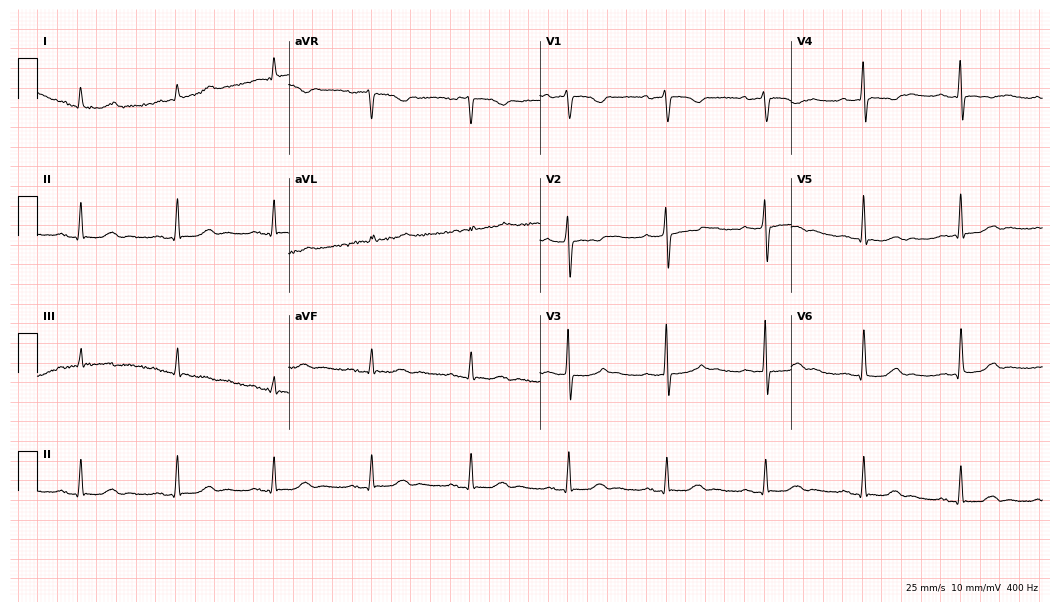
Resting 12-lead electrocardiogram. Patient: a 72-year-old female. None of these six findings is recorded: first-degree AV block, right bundle branch block (RBBB), left bundle branch block (LBBB), sinus bradycardia, atrial fibrillation (AF), sinus tachycardia. Only these six findings were labelled.